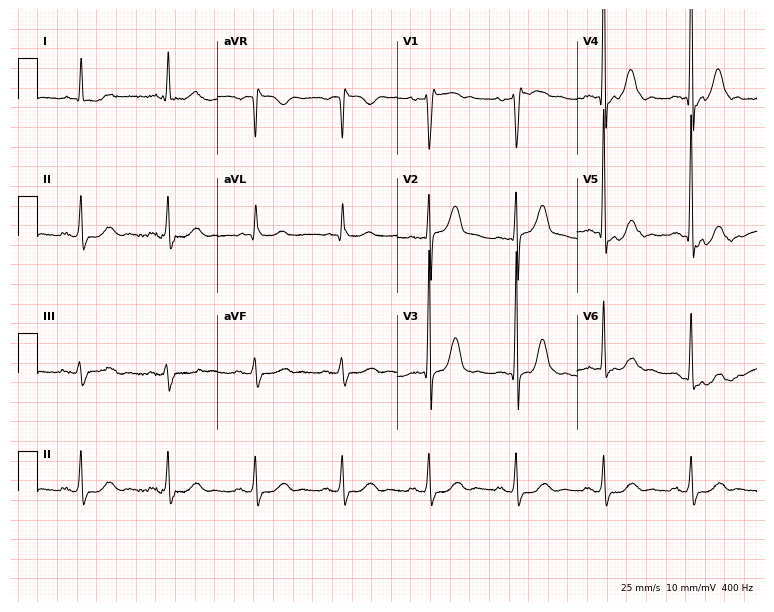
12-lead ECG from a 69-year-old male (7.3-second recording at 400 Hz). No first-degree AV block, right bundle branch block (RBBB), left bundle branch block (LBBB), sinus bradycardia, atrial fibrillation (AF) or sinus tachycardia recorded for this tracing.